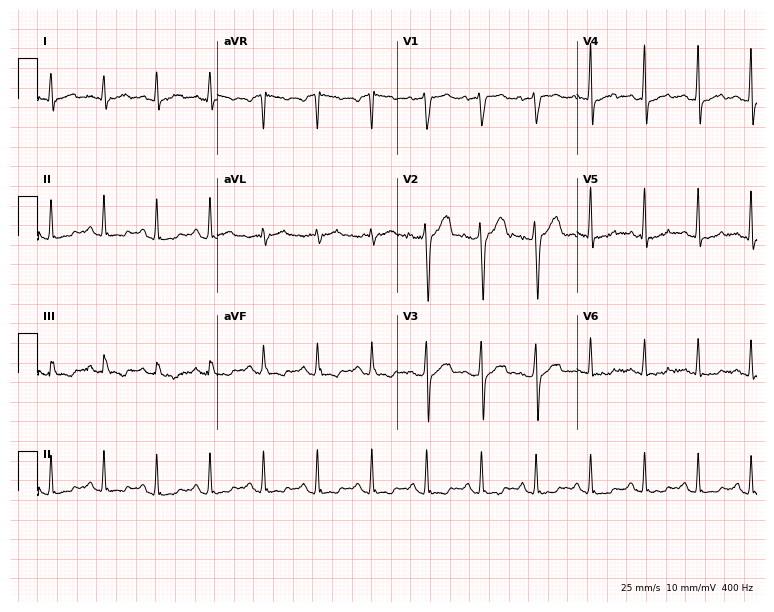
12-lead ECG from a male patient, 43 years old. Findings include sinus tachycardia (a sinus rate of 100 beats per minute or more).